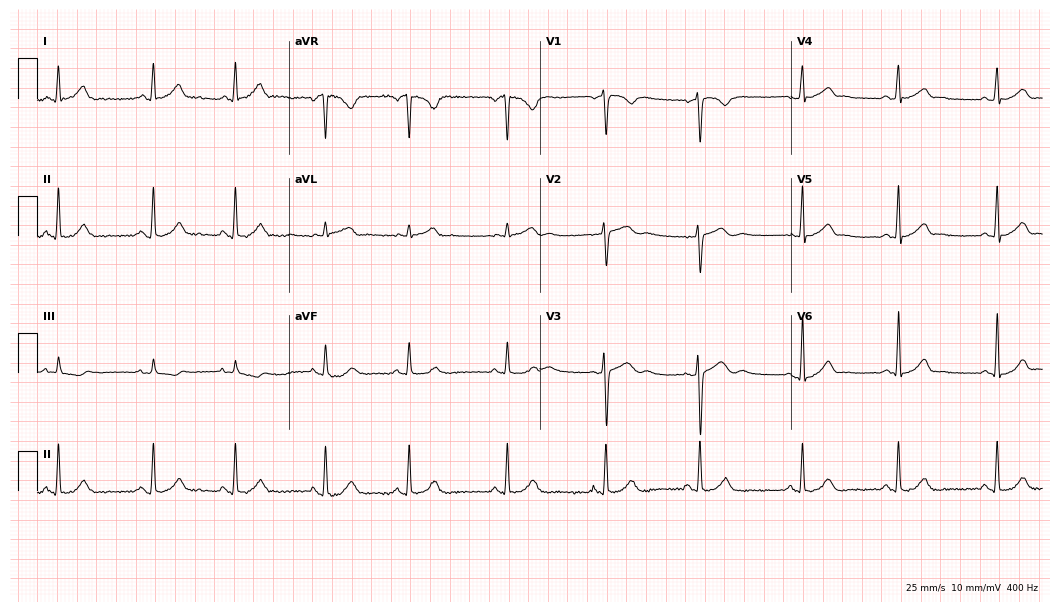
12-lead ECG from a female, 24 years old (10.2-second recording at 400 Hz). Recorded interpretation: within normal limits.